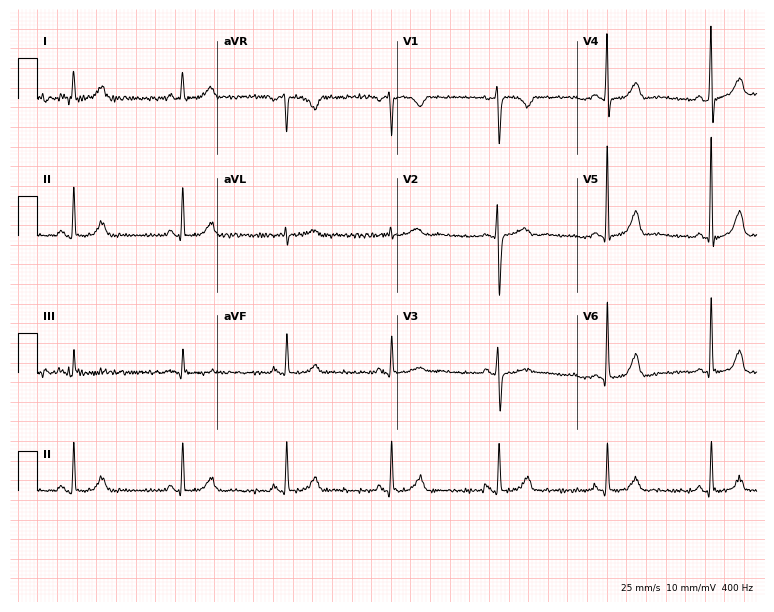
Standard 12-lead ECG recorded from a 42-year-old female patient. Read as a normal ECG.